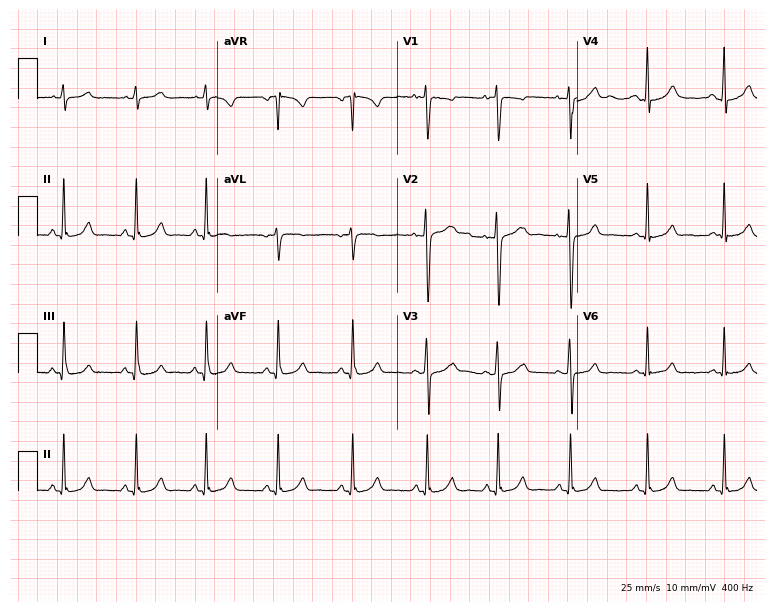
12-lead ECG from a female patient, 19 years old. Labelled as a normal ECG.